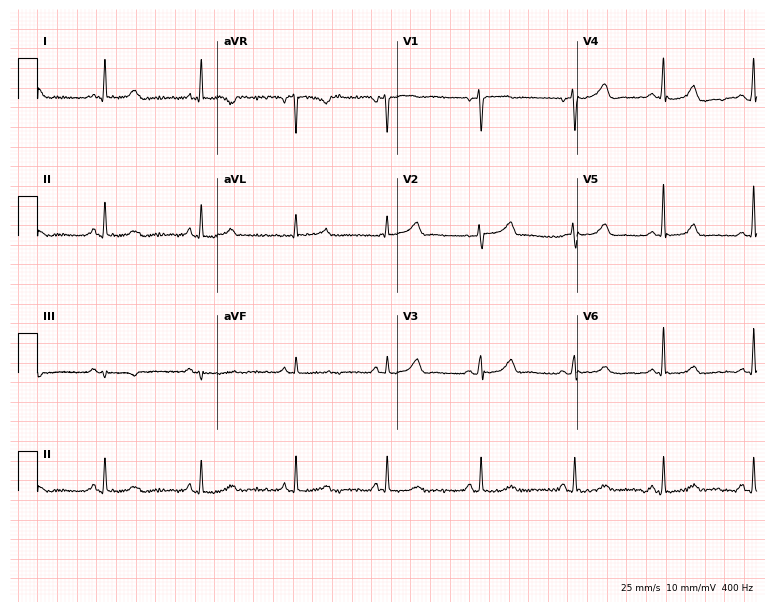
Standard 12-lead ECG recorded from a female, 50 years old. Read as a normal ECG.